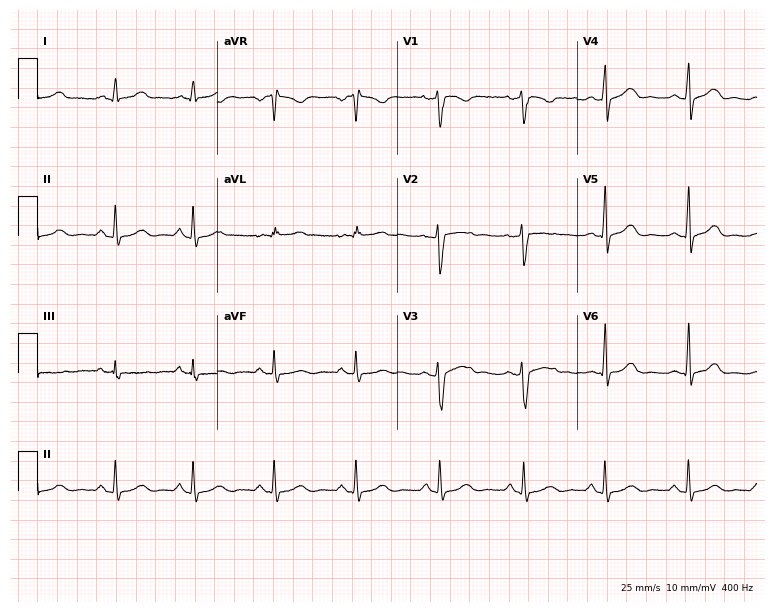
Standard 12-lead ECG recorded from a 33-year-old female. Read as a normal ECG.